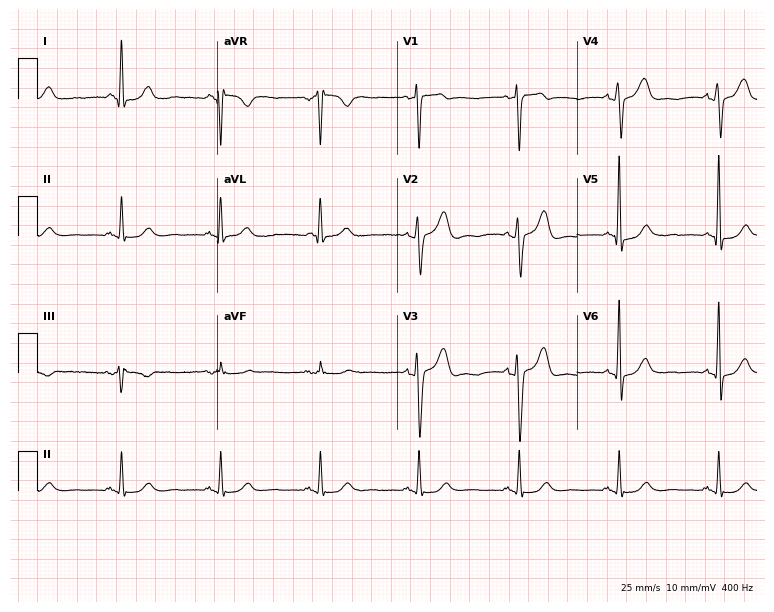
Standard 12-lead ECG recorded from a 65-year-old man. Read as a normal ECG.